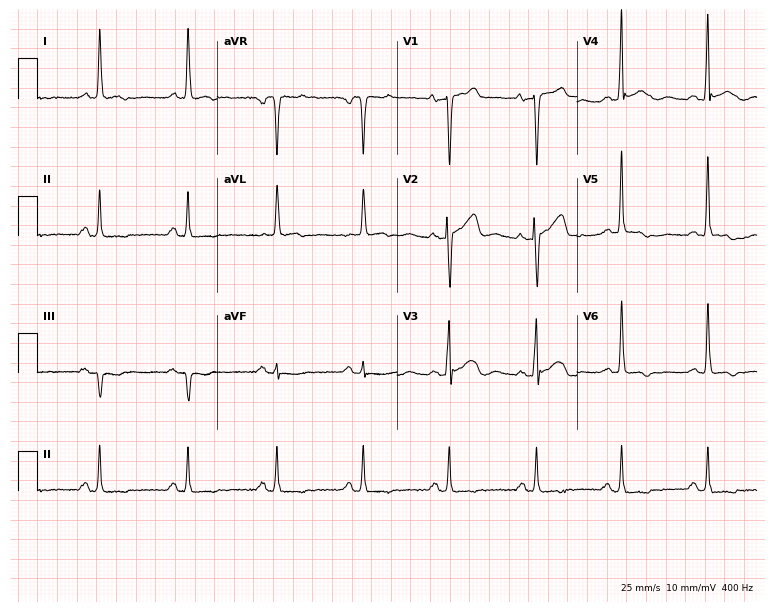
12-lead ECG from a 67-year-old female. Screened for six findings — first-degree AV block, right bundle branch block (RBBB), left bundle branch block (LBBB), sinus bradycardia, atrial fibrillation (AF), sinus tachycardia — none is recorded.